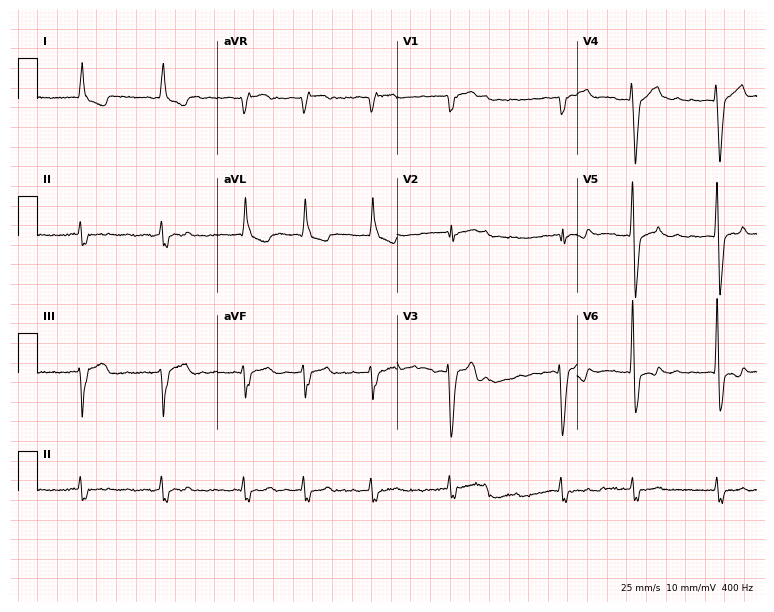
Standard 12-lead ECG recorded from a 78-year-old male. The tracing shows atrial fibrillation (AF).